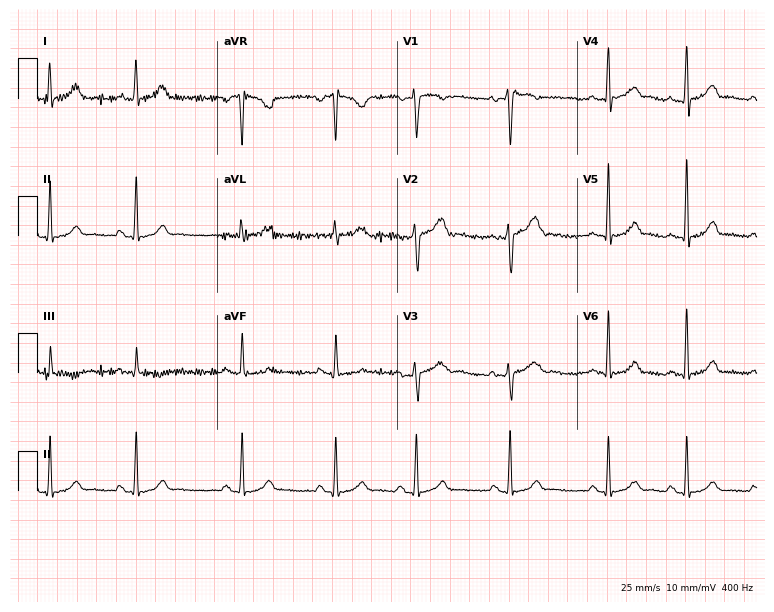
12-lead ECG from a female, 25 years old. Labelled as a normal ECG.